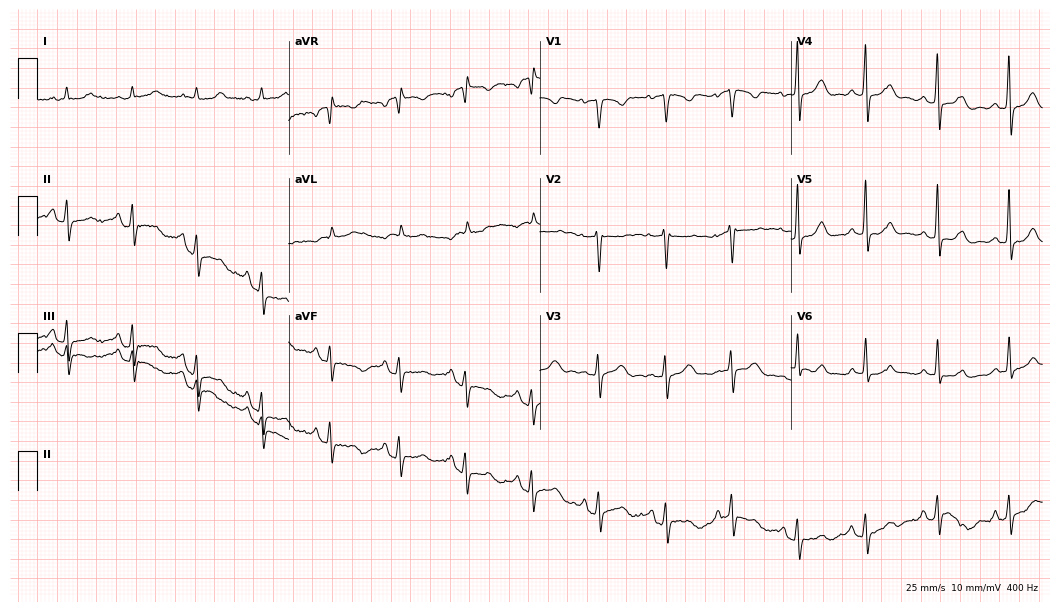
ECG (10.2-second recording at 400 Hz) — a female patient, 42 years old. Screened for six findings — first-degree AV block, right bundle branch block (RBBB), left bundle branch block (LBBB), sinus bradycardia, atrial fibrillation (AF), sinus tachycardia — none is recorded.